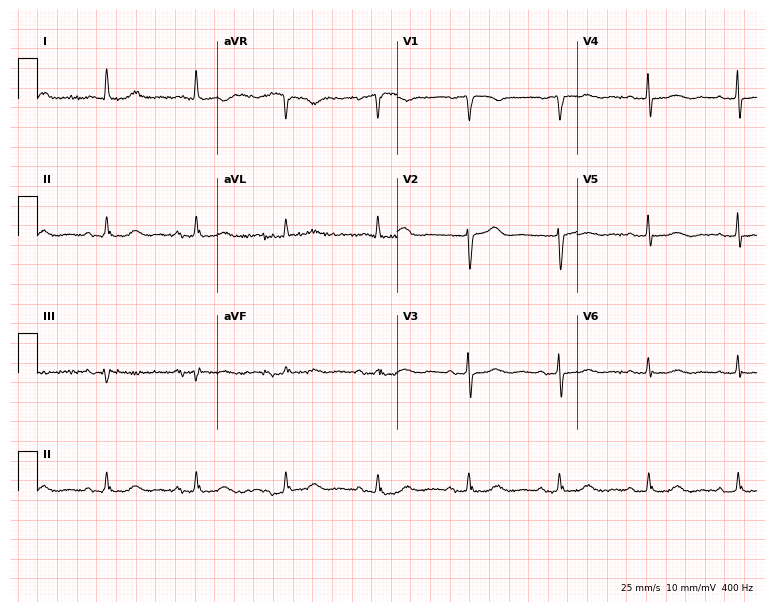
12-lead ECG from a female patient, 79 years old. Recorded interpretation: within normal limits.